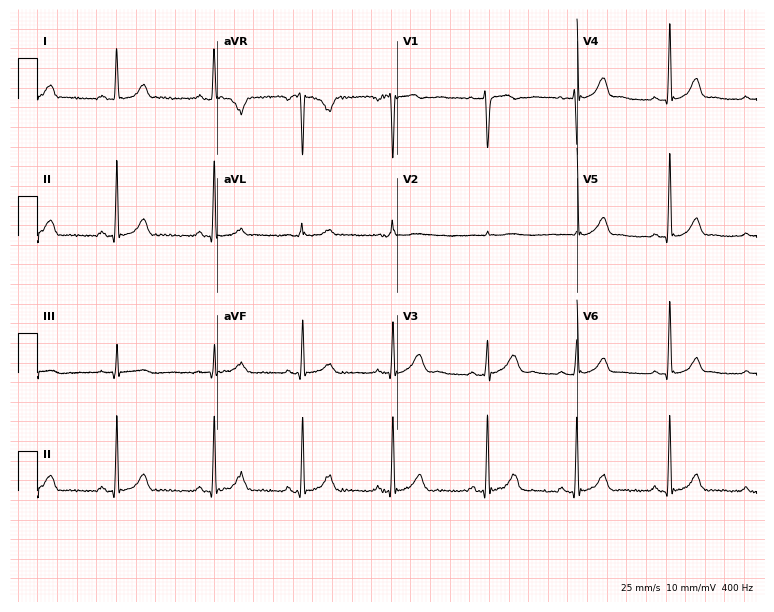
Standard 12-lead ECG recorded from a 34-year-old woman. None of these six findings is recorded: first-degree AV block, right bundle branch block (RBBB), left bundle branch block (LBBB), sinus bradycardia, atrial fibrillation (AF), sinus tachycardia.